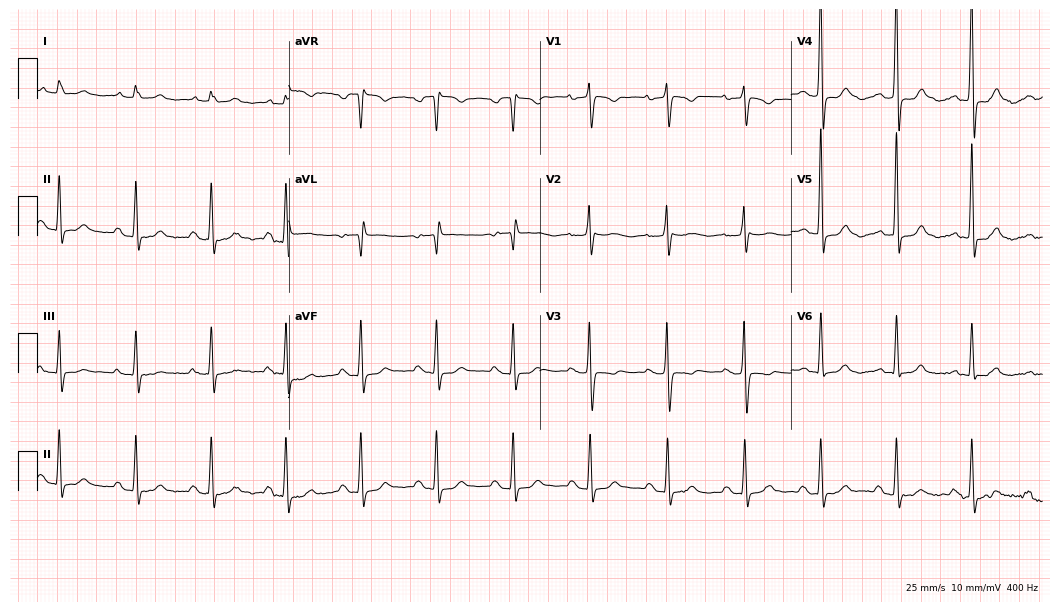
12-lead ECG (10.2-second recording at 400 Hz) from a woman, 78 years old. Screened for six findings — first-degree AV block, right bundle branch block (RBBB), left bundle branch block (LBBB), sinus bradycardia, atrial fibrillation (AF), sinus tachycardia — none is recorded.